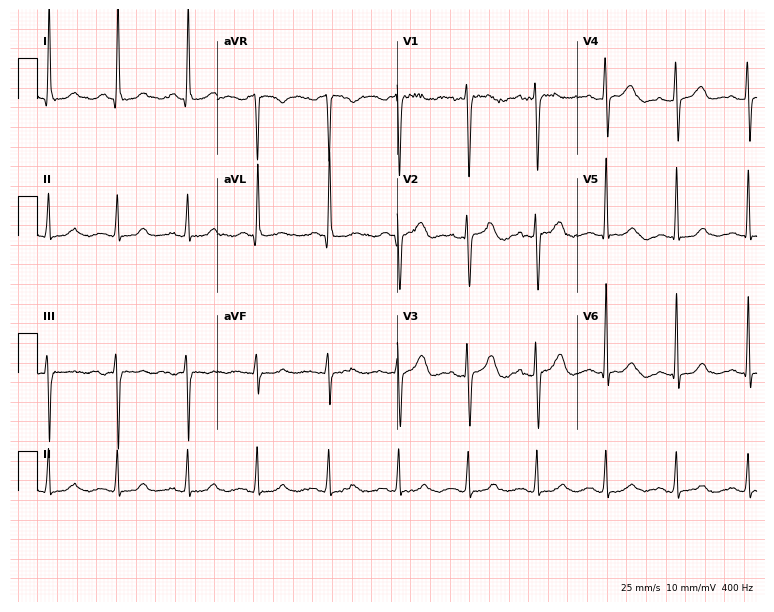
Electrocardiogram (7.3-second recording at 400 Hz), a female, 45 years old. Overall reading on record: normal ECG.